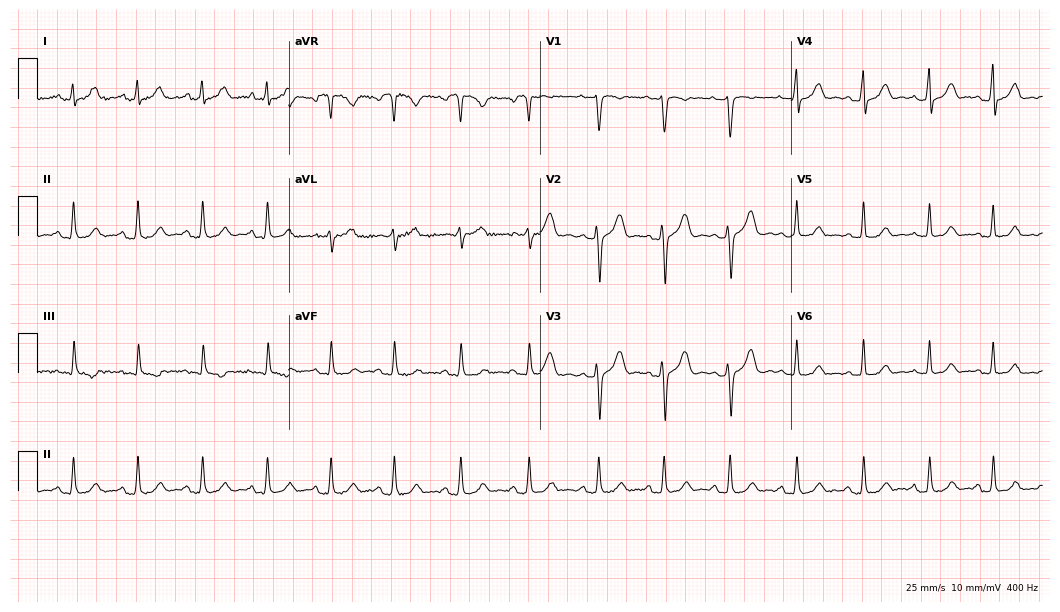
12-lead ECG from a 22-year-old woman. Recorded interpretation: within normal limits.